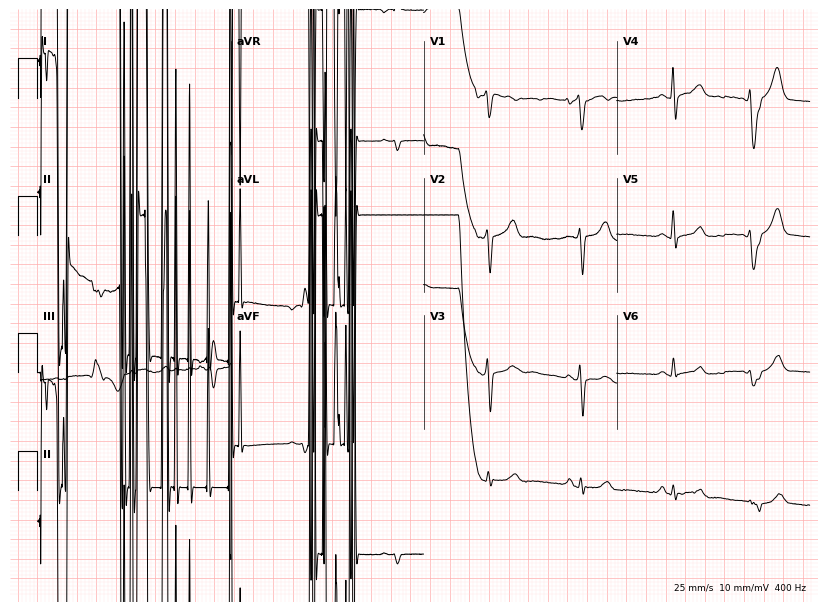
12-lead ECG (7.9-second recording at 400 Hz) from a male patient, 81 years old. Screened for six findings — first-degree AV block, right bundle branch block, left bundle branch block, sinus bradycardia, atrial fibrillation, sinus tachycardia — none is recorded. Only these six findings were labelled.